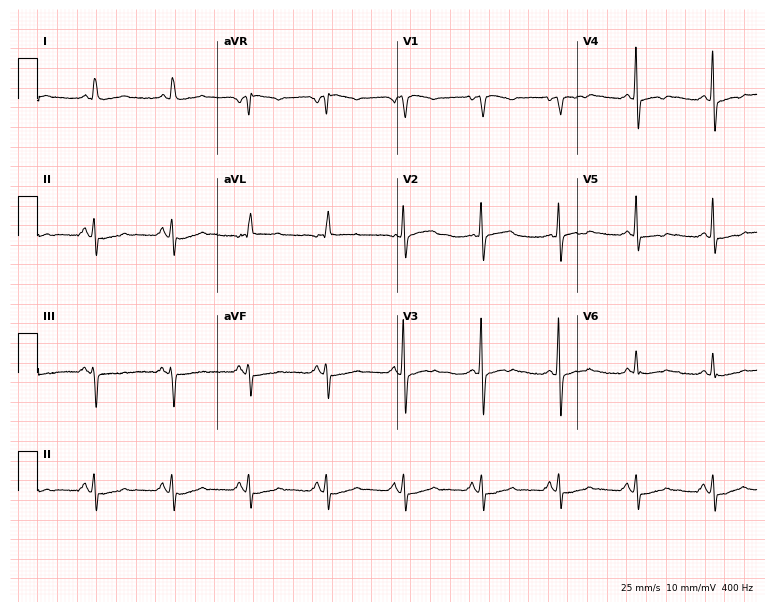
ECG — a female, 61 years old. Screened for six findings — first-degree AV block, right bundle branch block (RBBB), left bundle branch block (LBBB), sinus bradycardia, atrial fibrillation (AF), sinus tachycardia — none is recorded.